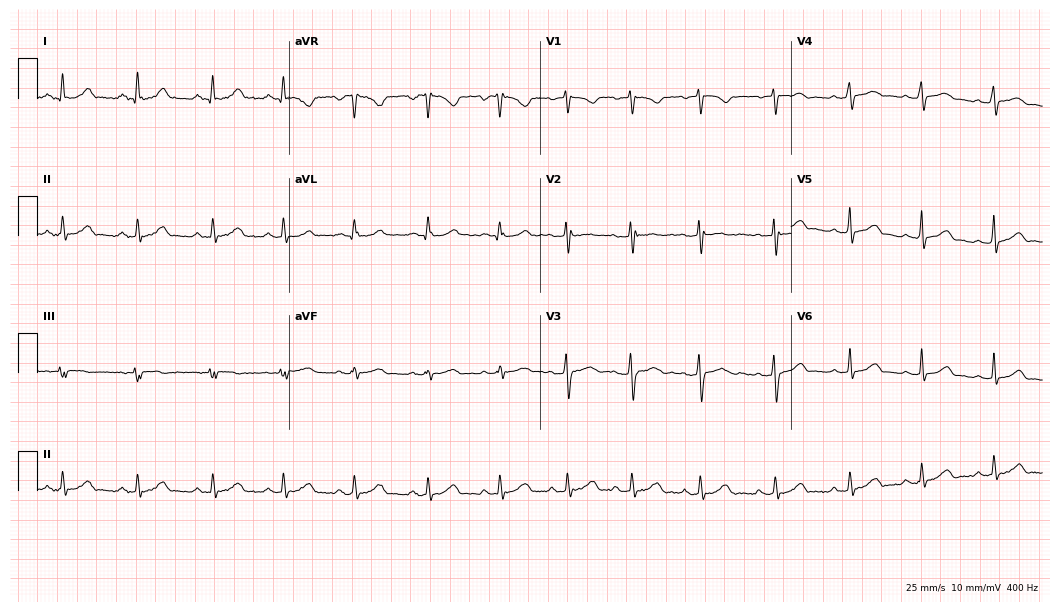
12-lead ECG from a 21-year-old woman. Labelled as a normal ECG.